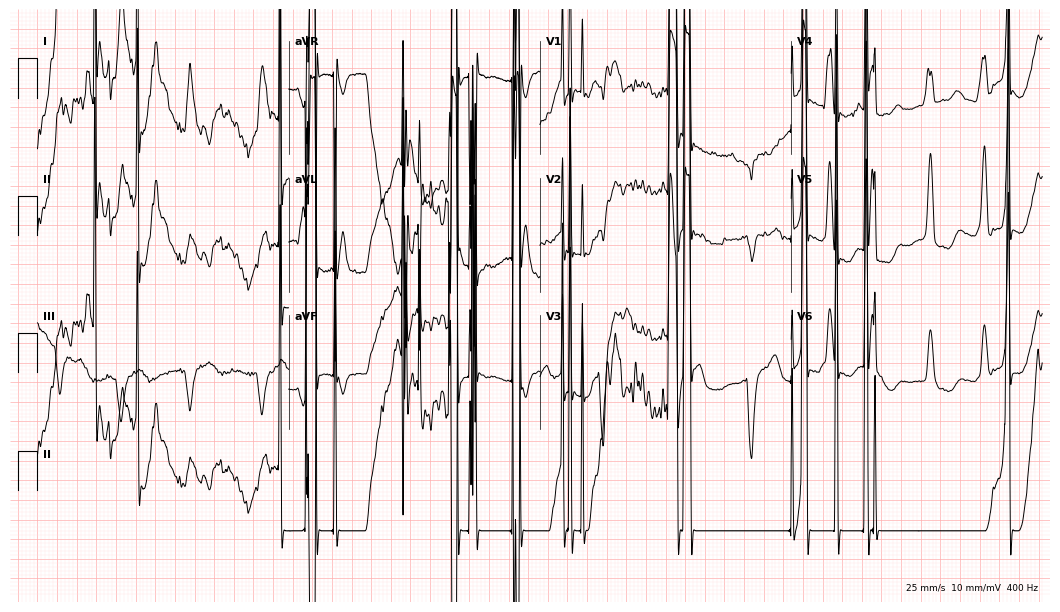
Standard 12-lead ECG recorded from a 74-year-old male patient (10.2-second recording at 400 Hz). None of these six findings is recorded: first-degree AV block, right bundle branch block, left bundle branch block, sinus bradycardia, atrial fibrillation, sinus tachycardia. Other findings, if any, are not listed.